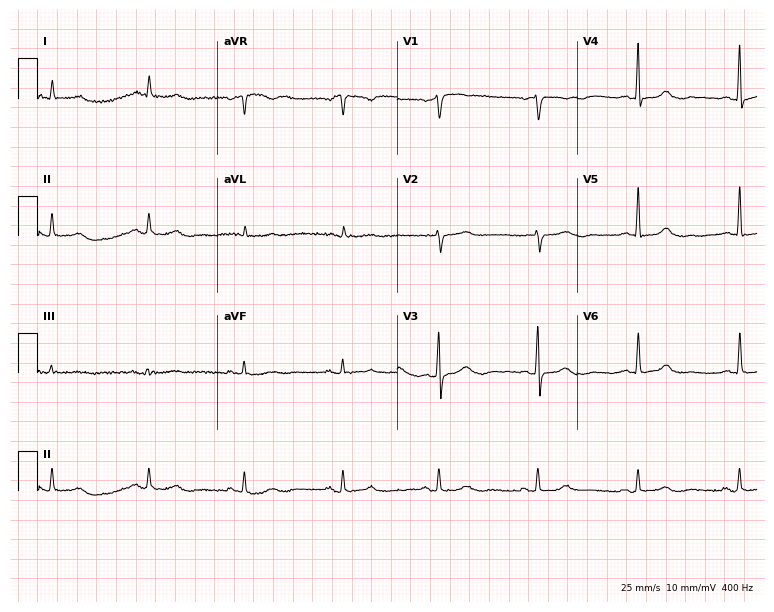
Resting 12-lead electrocardiogram. Patient: a 71-year-old male. Read as a normal ECG.